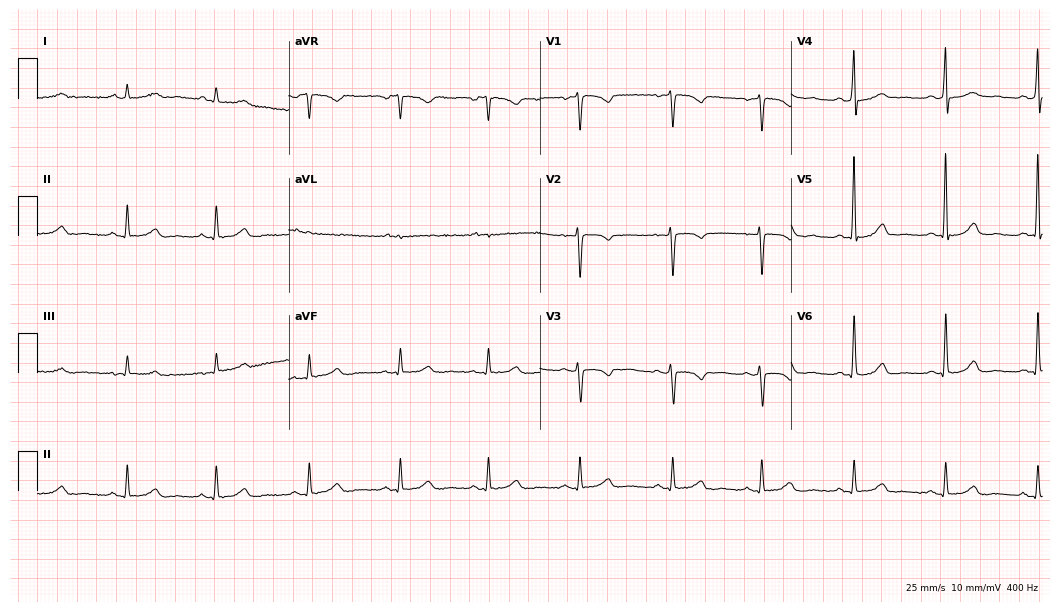
Resting 12-lead electrocardiogram. Patient: a woman, 47 years old. Read as a normal ECG.